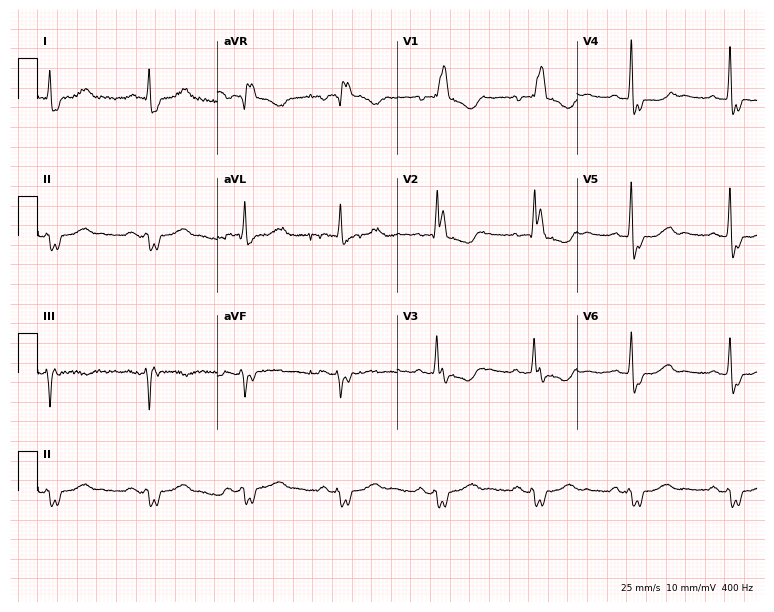
Standard 12-lead ECG recorded from an 81-year-old woman. The tracing shows right bundle branch block.